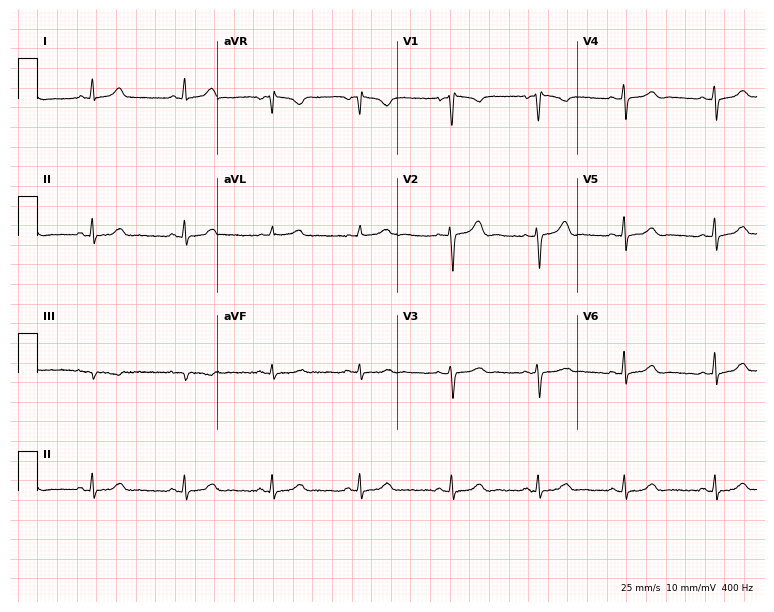
12-lead ECG from a 33-year-old female. Labelled as a normal ECG.